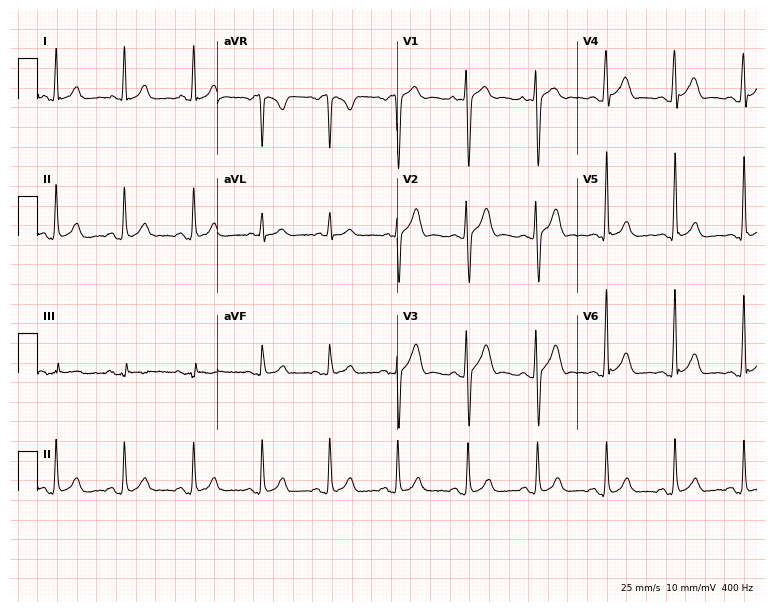
12-lead ECG (7.3-second recording at 400 Hz) from a man, 25 years old. Labelled as a normal ECG.